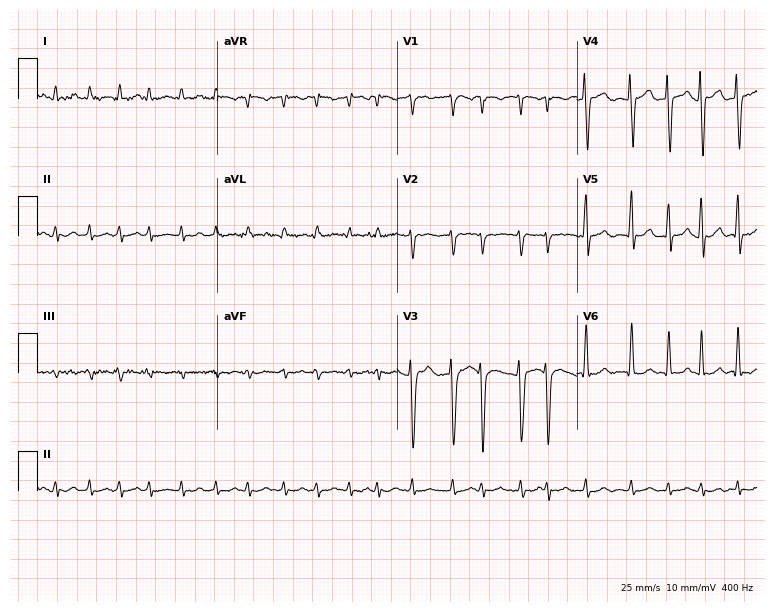
Standard 12-lead ECG recorded from a male, 81 years old. The tracing shows atrial fibrillation.